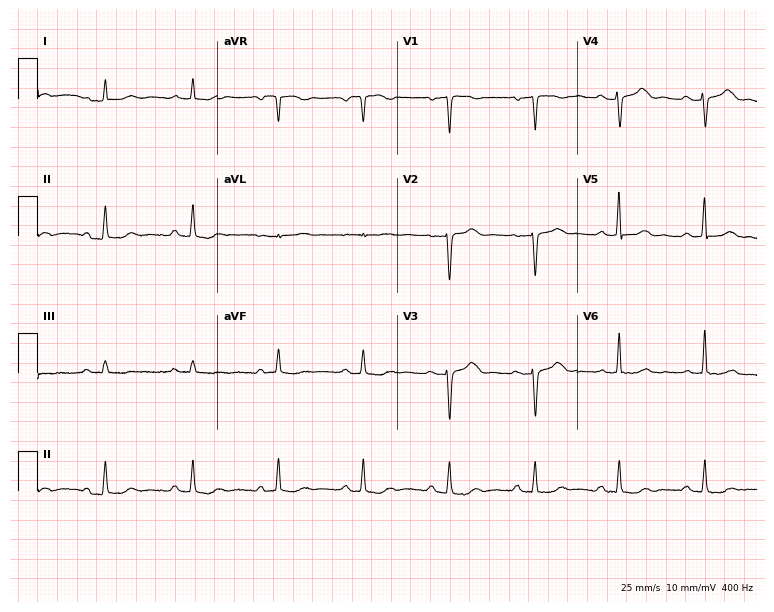
12-lead ECG from a female patient, 57 years old (7.3-second recording at 400 Hz). No first-degree AV block, right bundle branch block, left bundle branch block, sinus bradycardia, atrial fibrillation or sinus tachycardia recorded for this tracing. Other findings, if any, are not listed.